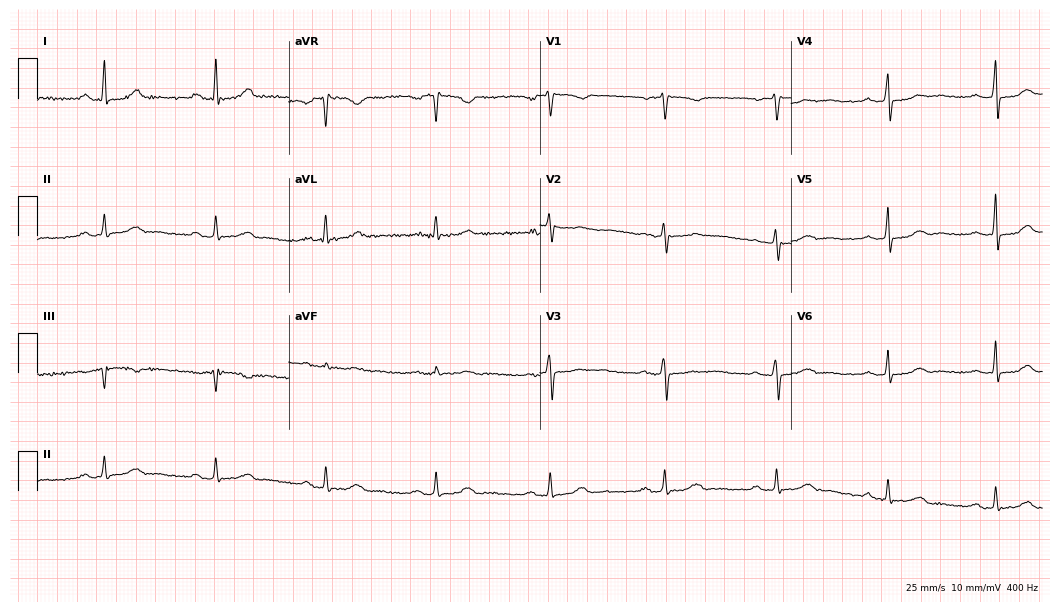
12-lead ECG from a 52-year-old woman. No first-degree AV block, right bundle branch block, left bundle branch block, sinus bradycardia, atrial fibrillation or sinus tachycardia recorded for this tracing.